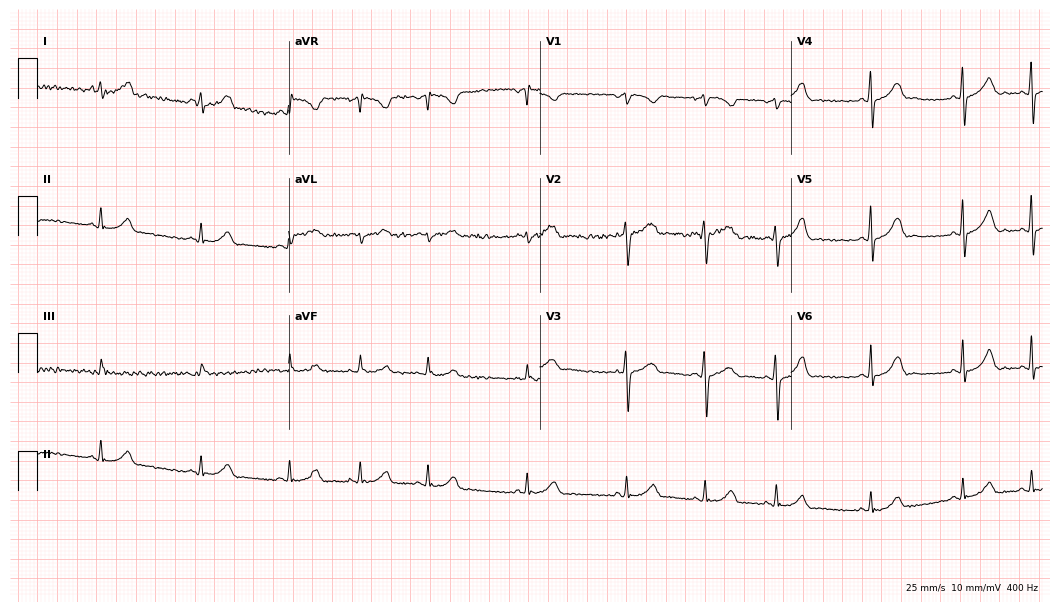
ECG (10.2-second recording at 400 Hz) — a woman, 23 years old. Labelled as a normal ECG.